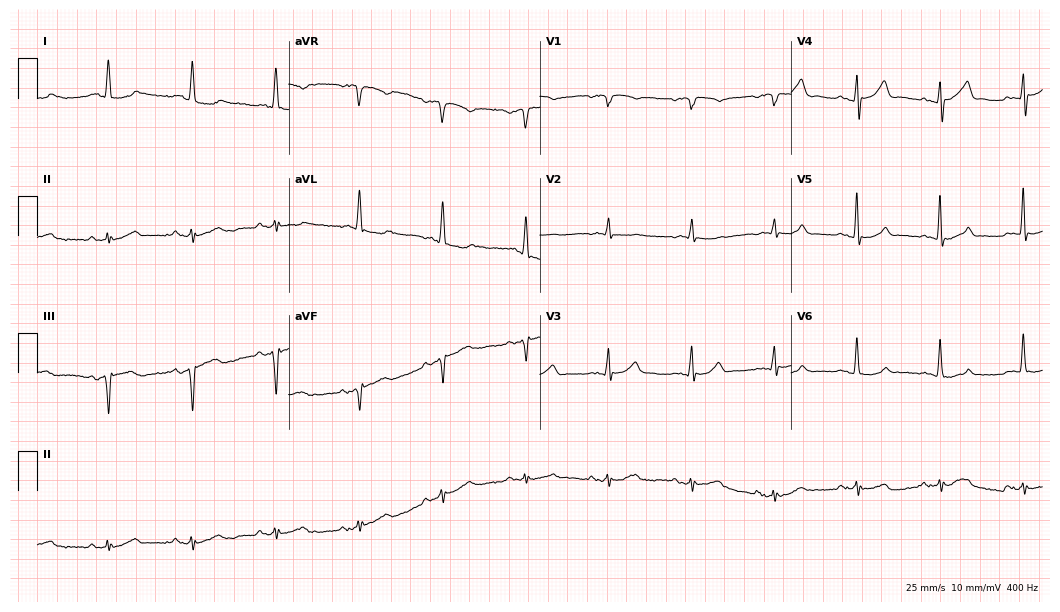
Resting 12-lead electrocardiogram (10.2-second recording at 400 Hz). Patient: an 85-year-old male. None of these six findings is recorded: first-degree AV block, right bundle branch block, left bundle branch block, sinus bradycardia, atrial fibrillation, sinus tachycardia.